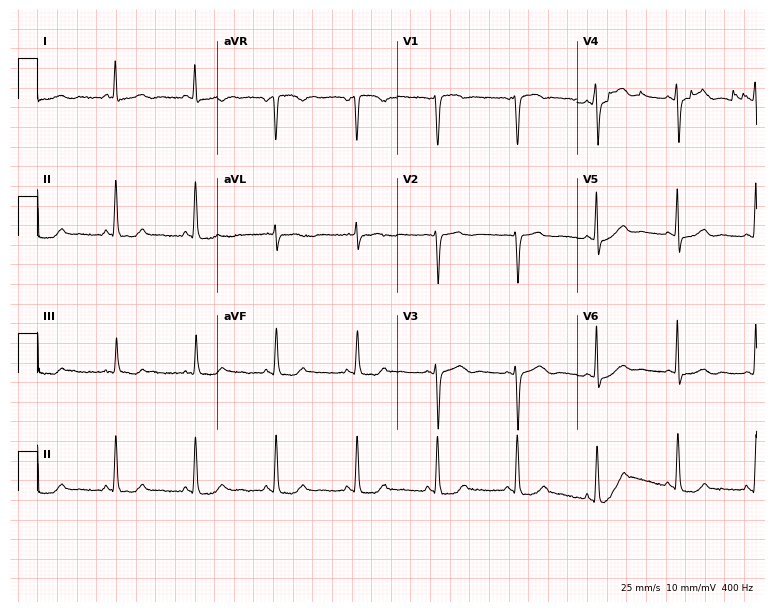
Standard 12-lead ECG recorded from a female, 44 years old. None of these six findings is recorded: first-degree AV block, right bundle branch block, left bundle branch block, sinus bradycardia, atrial fibrillation, sinus tachycardia.